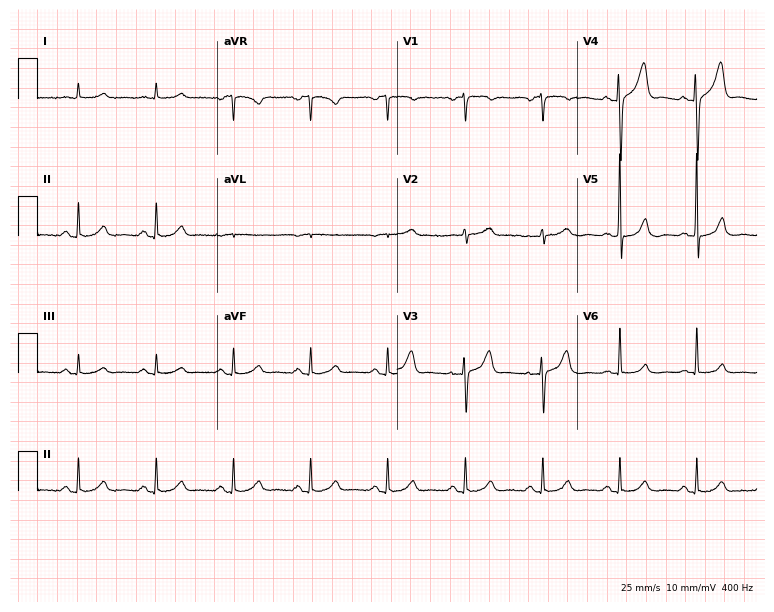
ECG — a 67-year-old man. Labelled as a normal ECG.